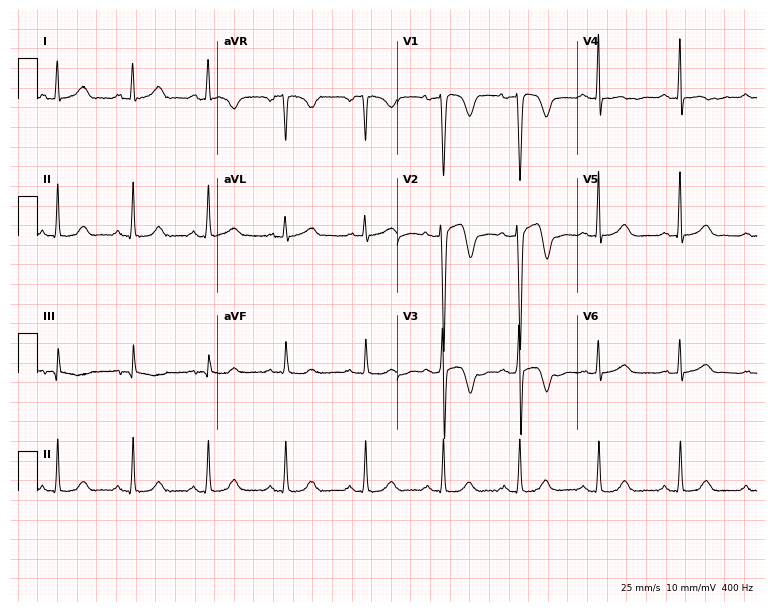
ECG — a 45-year-old female patient. Screened for six findings — first-degree AV block, right bundle branch block, left bundle branch block, sinus bradycardia, atrial fibrillation, sinus tachycardia — none is recorded. Only these six findings were labelled.